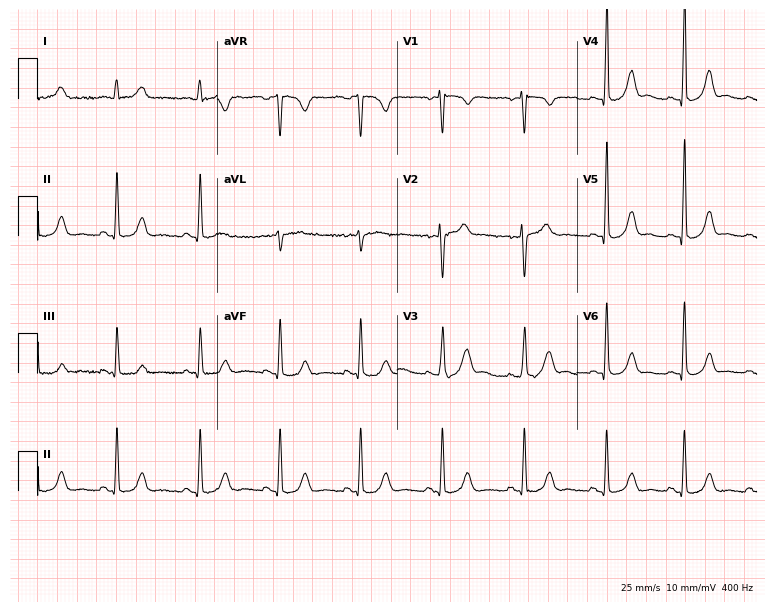
Resting 12-lead electrocardiogram. Patient: a female, 37 years old. Read as a normal ECG.